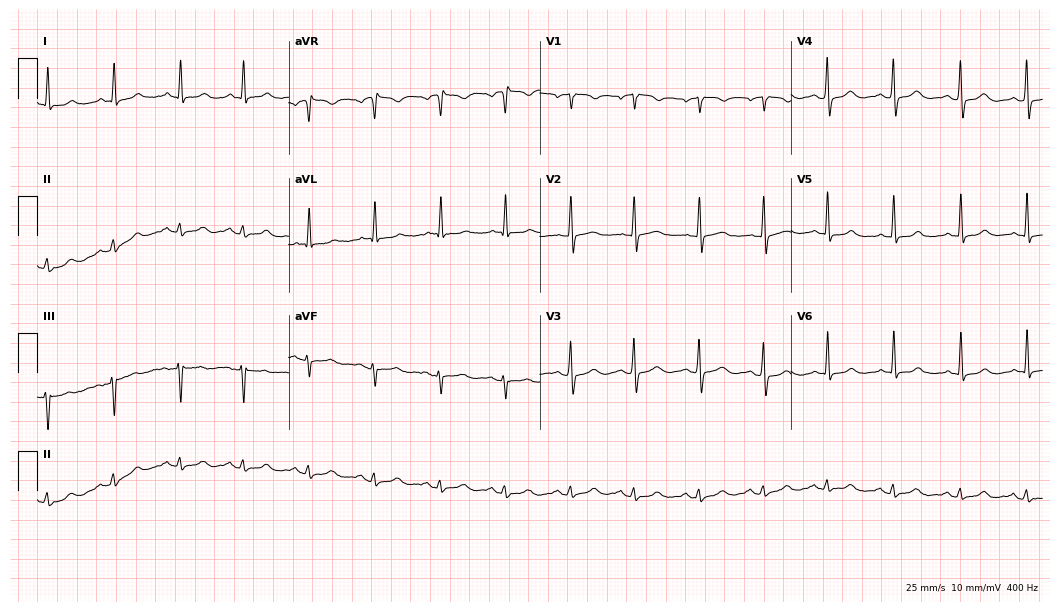
ECG — a 65-year-old woman. Screened for six findings — first-degree AV block, right bundle branch block, left bundle branch block, sinus bradycardia, atrial fibrillation, sinus tachycardia — none is recorded. Other findings, if any, are not listed.